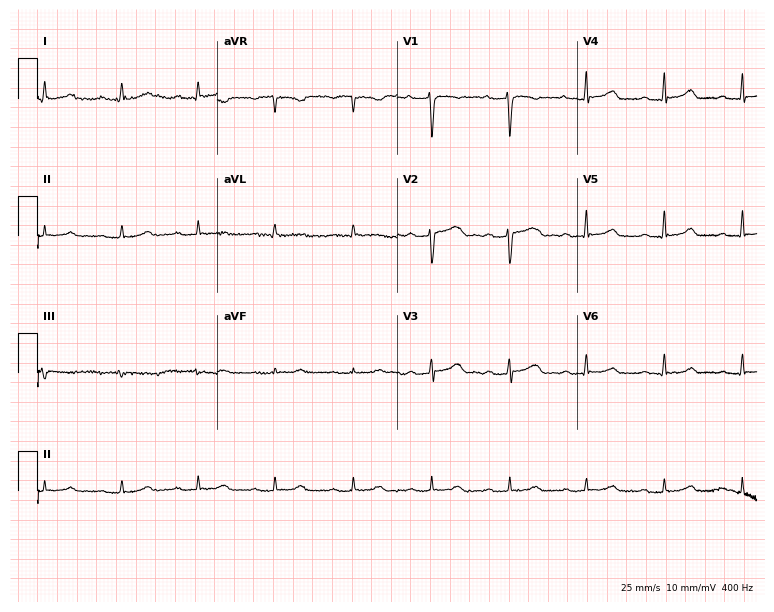
Electrocardiogram, a 50-year-old woman. Of the six screened findings (first-degree AV block, right bundle branch block, left bundle branch block, sinus bradycardia, atrial fibrillation, sinus tachycardia), none is recorded. Only these six findings were labelled.